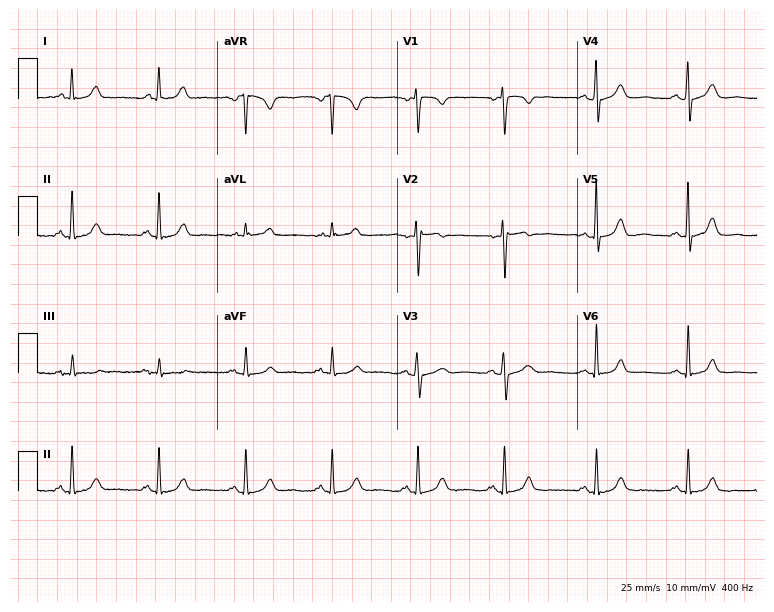
ECG — a 40-year-old woman. Labelled as a normal ECG.